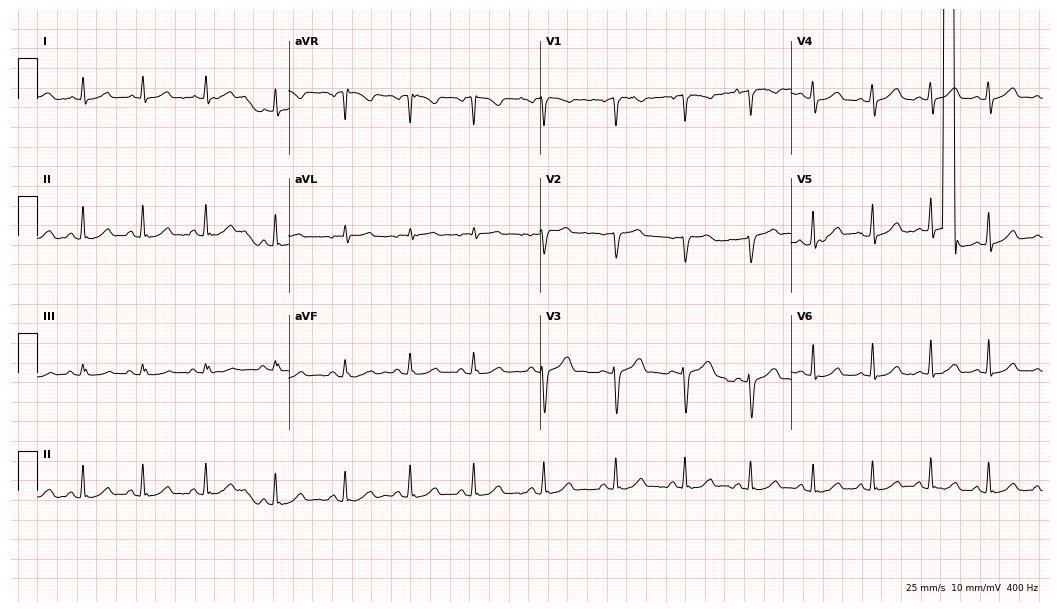
12-lead ECG (10.2-second recording at 400 Hz) from a female patient, 25 years old. Labelled as a normal ECG.